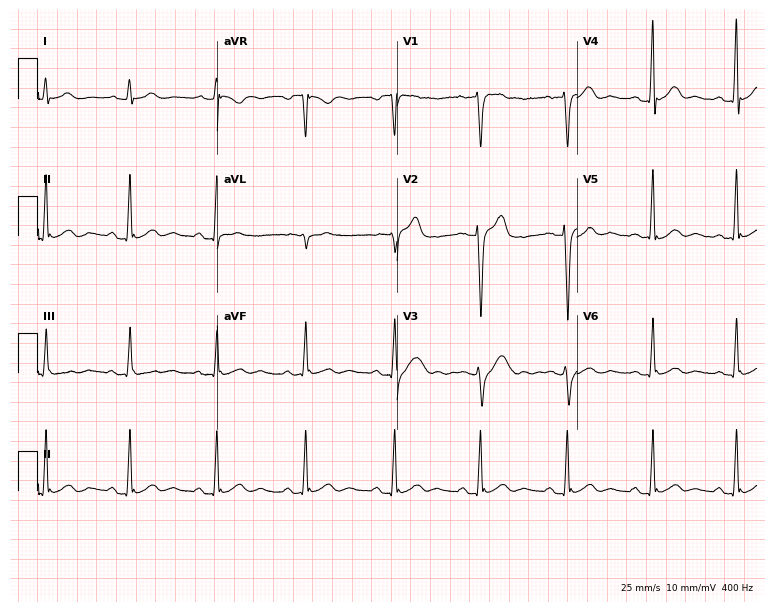
Electrocardiogram, a male patient, 33 years old. Overall reading on record: normal ECG.